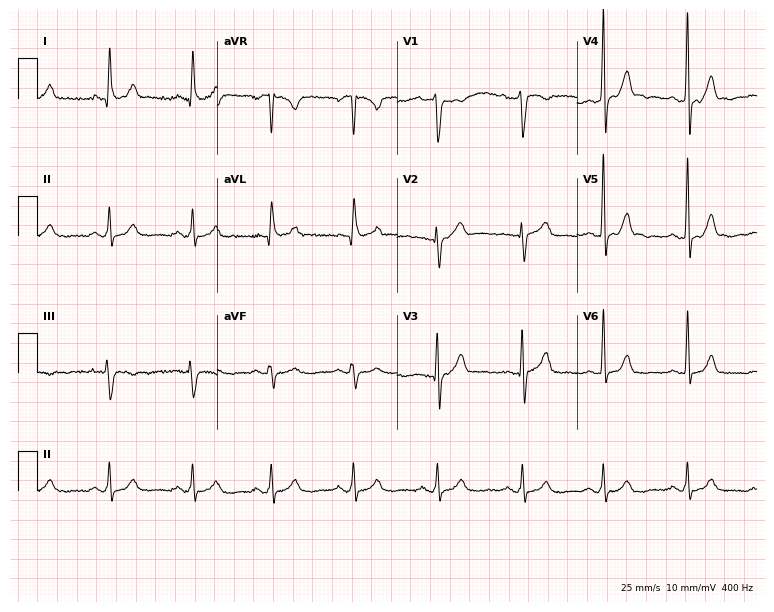
Resting 12-lead electrocardiogram (7.3-second recording at 400 Hz). Patient: a male, 36 years old. Read as a normal ECG.